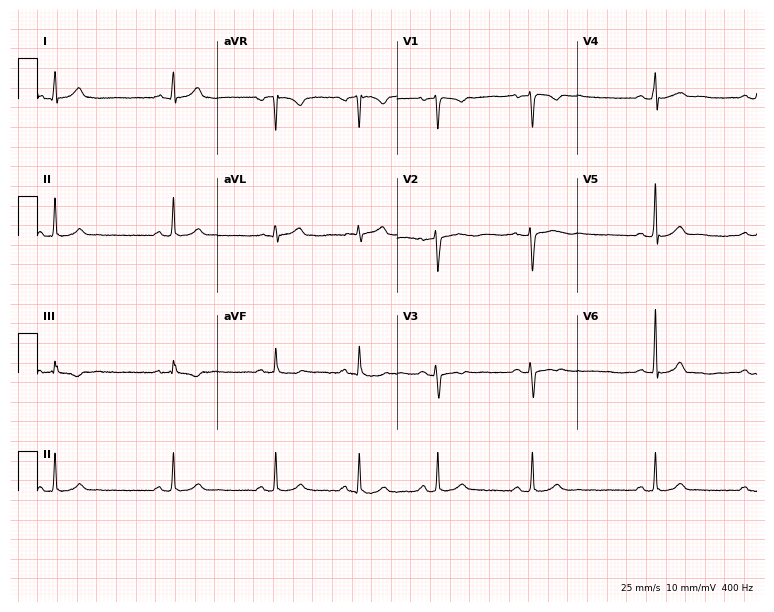
Electrocardiogram (7.3-second recording at 400 Hz), a 23-year-old woman. Overall reading on record: normal ECG.